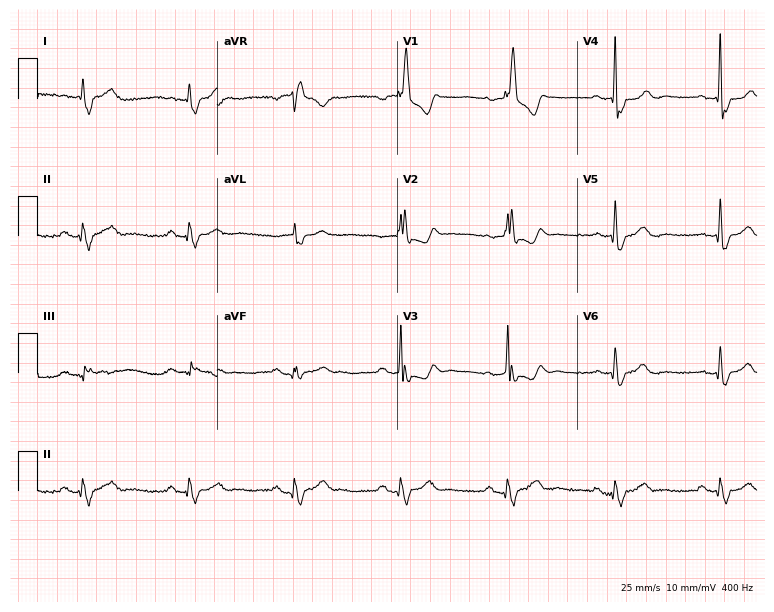
Electrocardiogram (7.3-second recording at 400 Hz), a man, 60 years old. Interpretation includes right bundle branch block (RBBB).